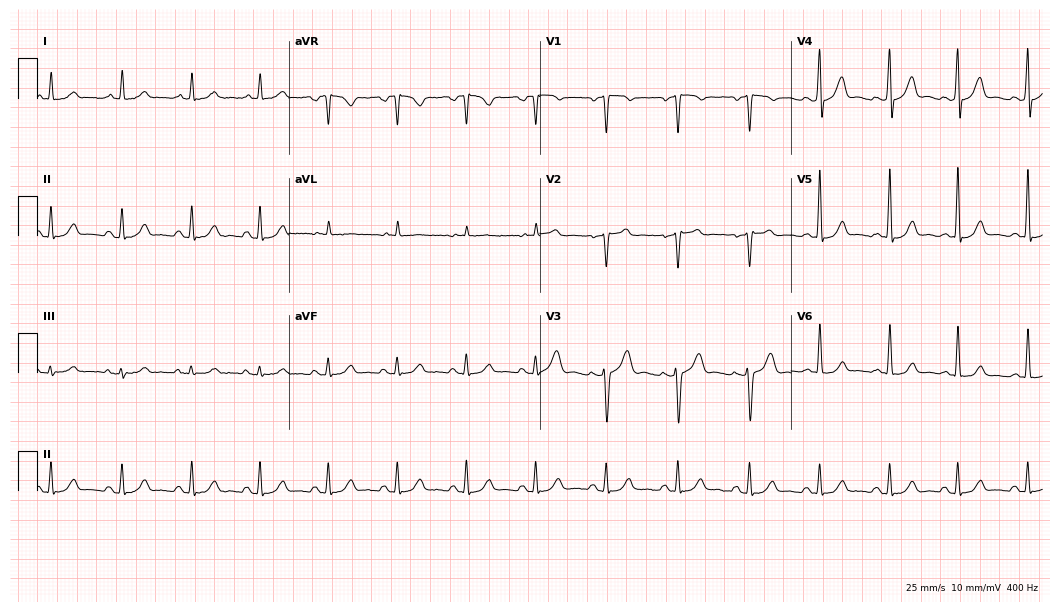
ECG (10.2-second recording at 400 Hz) — a 35-year-old male patient. Screened for six findings — first-degree AV block, right bundle branch block, left bundle branch block, sinus bradycardia, atrial fibrillation, sinus tachycardia — none is recorded. Other findings, if any, are not listed.